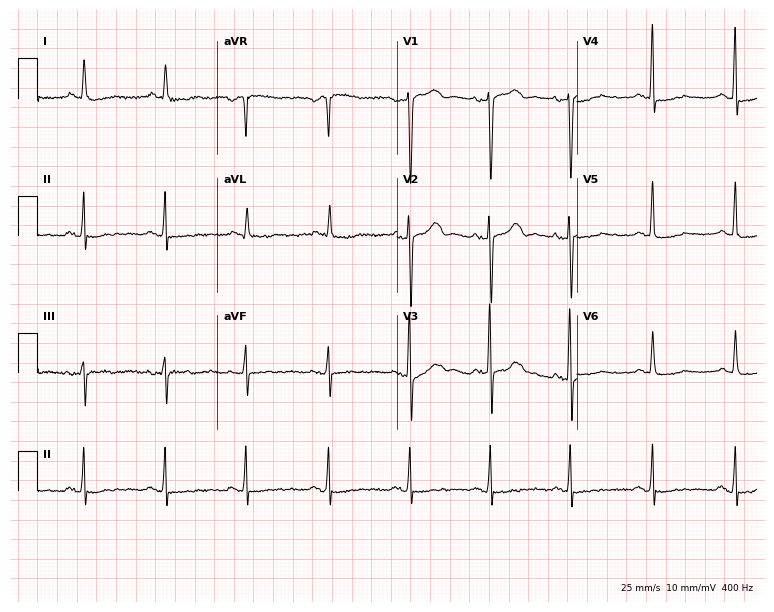
Electrocardiogram, a 70-year-old female patient. Of the six screened findings (first-degree AV block, right bundle branch block (RBBB), left bundle branch block (LBBB), sinus bradycardia, atrial fibrillation (AF), sinus tachycardia), none is recorded. Findings outside these six are not listed.